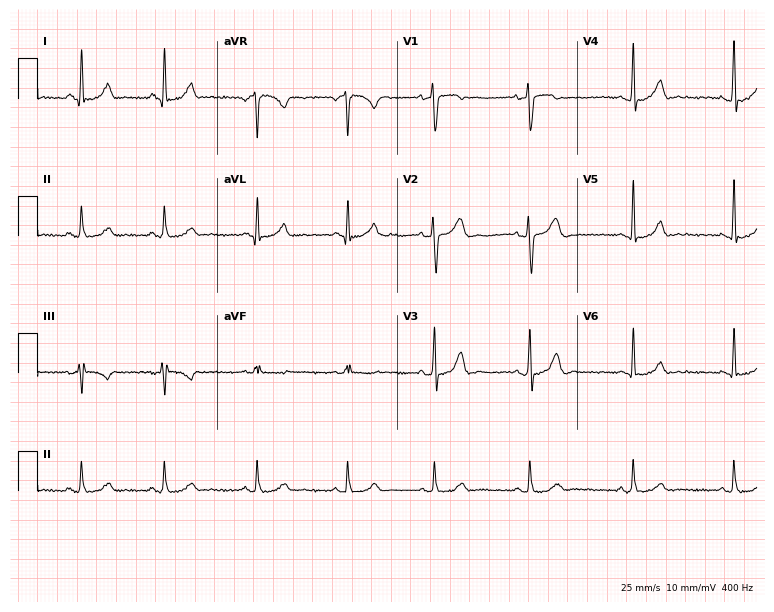
Resting 12-lead electrocardiogram (7.3-second recording at 400 Hz). Patient: a 32-year-old female. Read as a normal ECG.